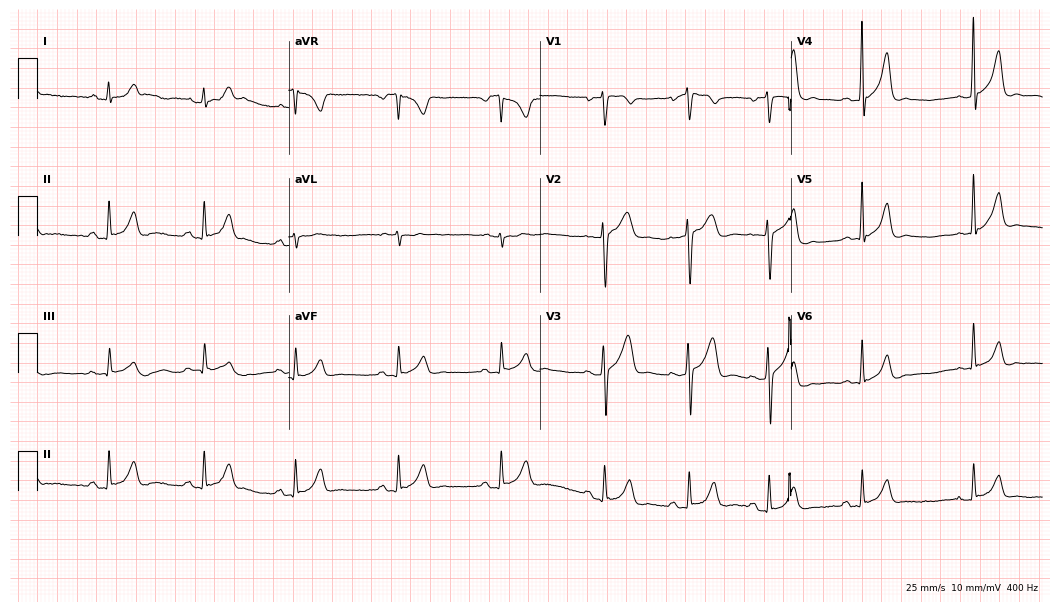
Resting 12-lead electrocardiogram. Patient: a 29-year-old male. Read as a normal ECG.